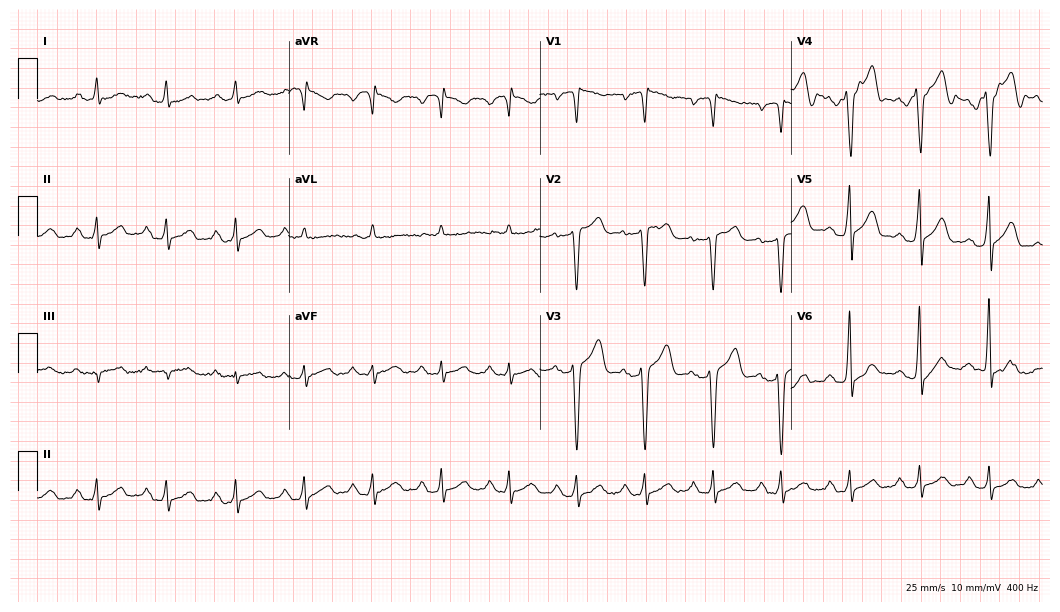
12-lead ECG from a 36-year-old male. Screened for six findings — first-degree AV block, right bundle branch block, left bundle branch block, sinus bradycardia, atrial fibrillation, sinus tachycardia — none is recorded.